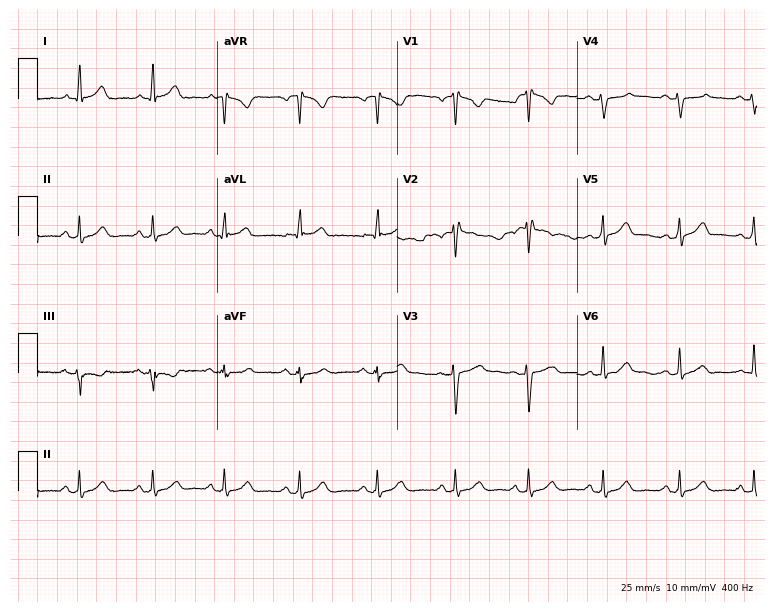
12-lead ECG from a female, 31 years old. Recorded interpretation: within normal limits.